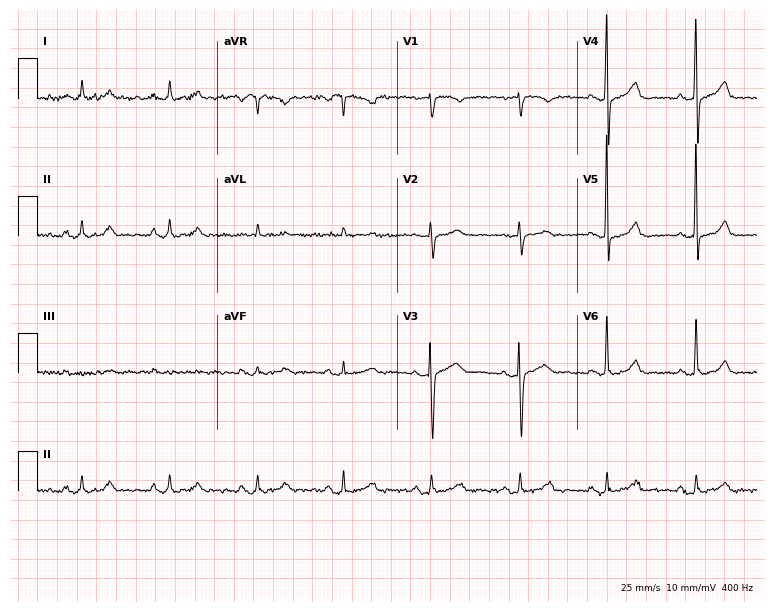
12-lead ECG from a woman, 81 years old (7.3-second recording at 400 Hz). No first-degree AV block, right bundle branch block, left bundle branch block, sinus bradycardia, atrial fibrillation or sinus tachycardia recorded for this tracing. Other findings, if any, are not listed.